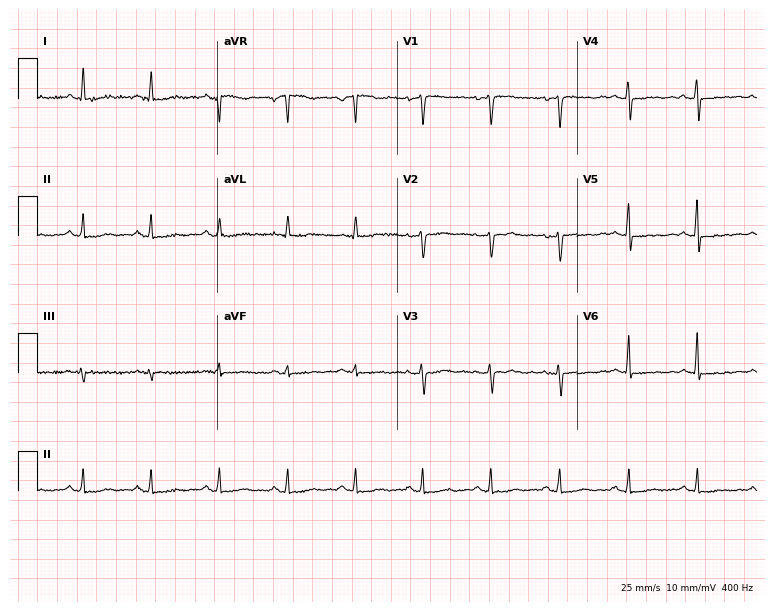
Electrocardiogram, a female, 52 years old. Of the six screened findings (first-degree AV block, right bundle branch block, left bundle branch block, sinus bradycardia, atrial fibrillation, sinus tachycardia), none is recorded. Only these six findings were labelled.